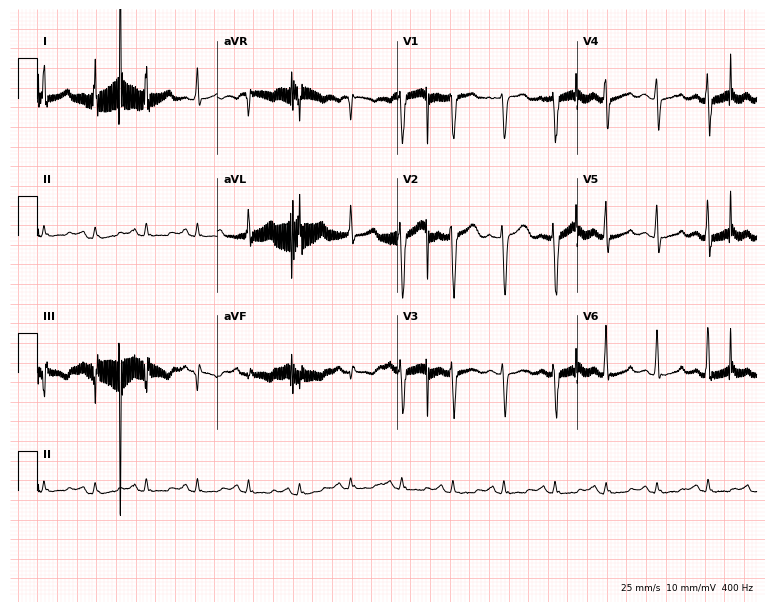
Electrocardiogram, a woman, 85 years old. Of the six screened findings (first-degree AV block, right bundle branch block (RBBB), left bundle branch block (LBBB), sinus bradycardia, atrial fibrillation (AF), sinus tachycardia), none is recorded. Other findings, if any, are not listed.